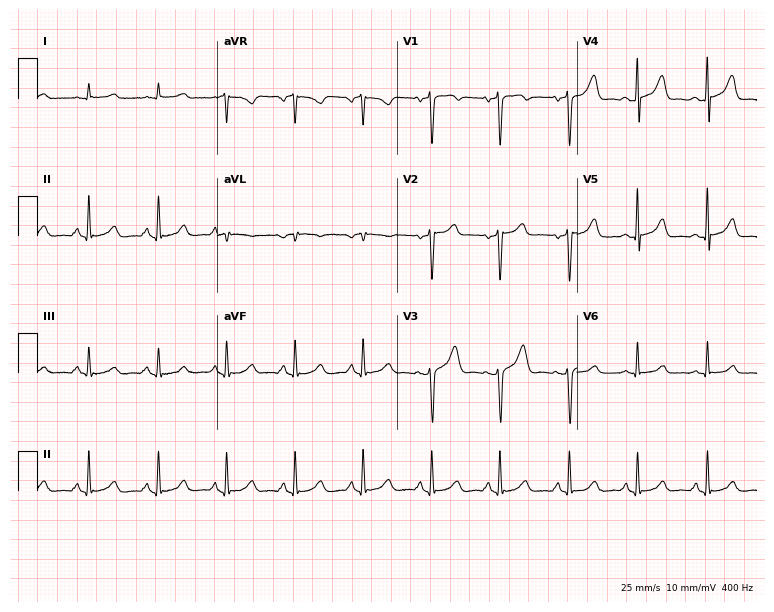
Electrocardiogram, a male, 45 years old. Overall reading on record: normal ECG.